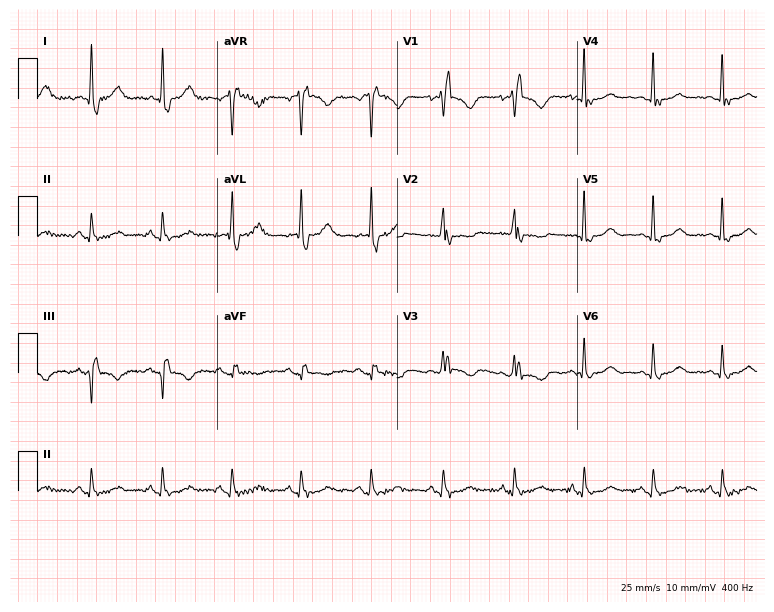
12-lead ECG from a female patient, 71 years old. Shows right bundle branch block.